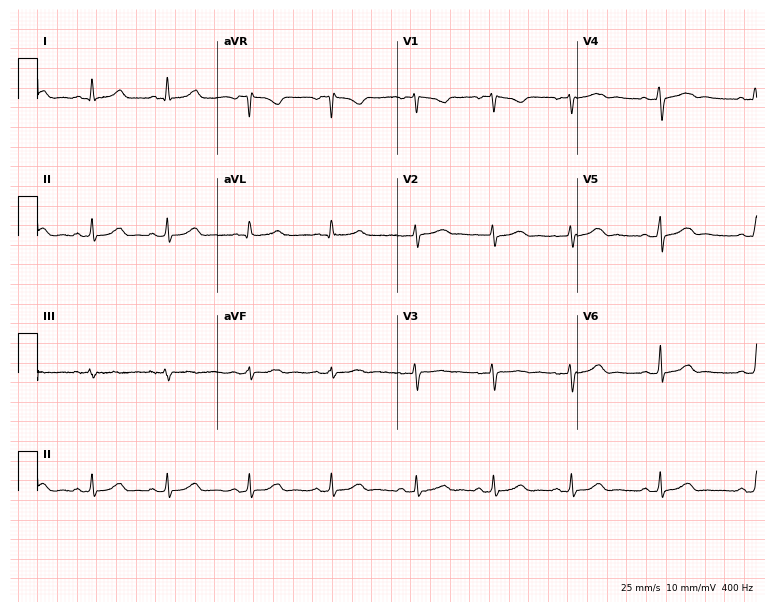
12-lead ECG from a 40-year-old female. Recorded interpretation: within normal limits.